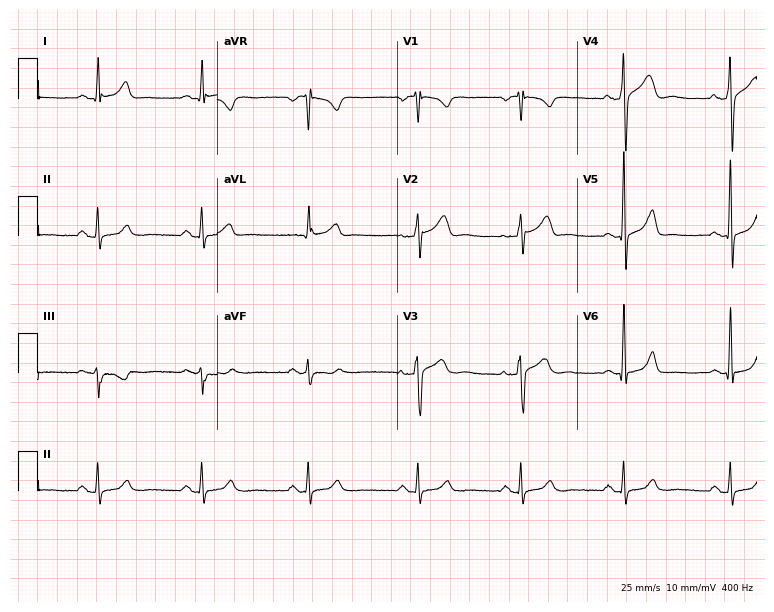
12-lead ECG (7.3-second recording at 400 Hz) from a man, 39 years old. Labelled as a normal ECG.